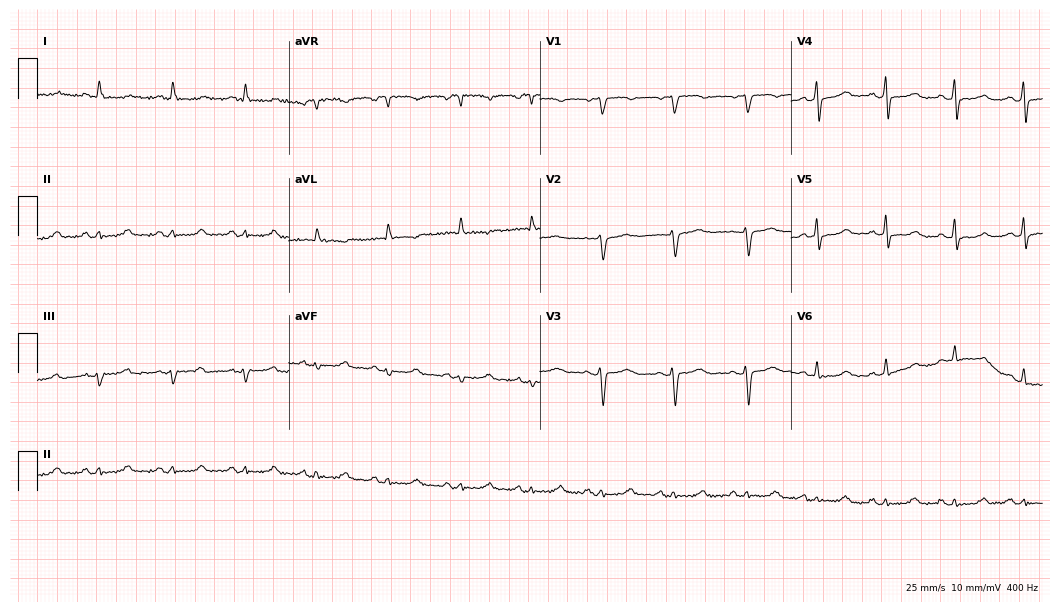
Electrocardiogram (10.2-second recording at 400 Hz), a 53-year-old female. Overall reading on record: normal ECG.